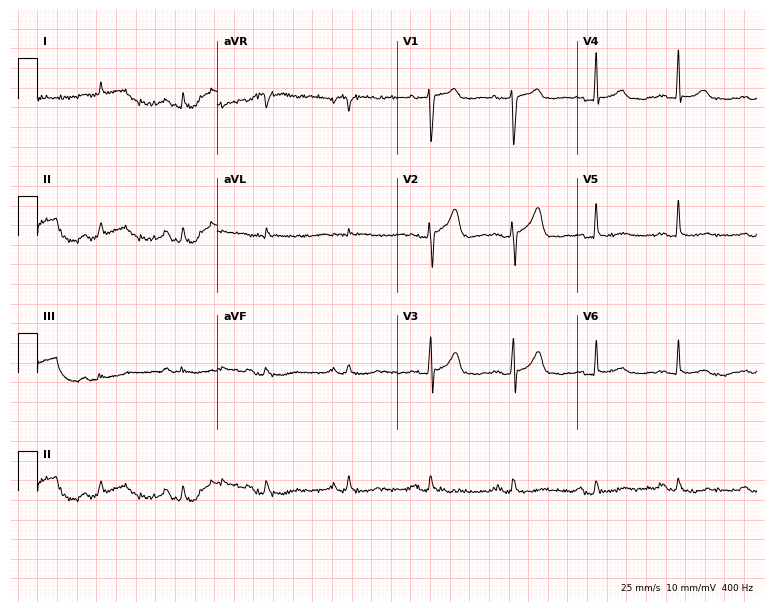
ECG — a 75-year-old man. Screened for six findings — first-degree AV block, right bundle branch block, left bundle branch block, sinus bradycardia, atrial fibrillation, sinus tachycardia — none is recorded.